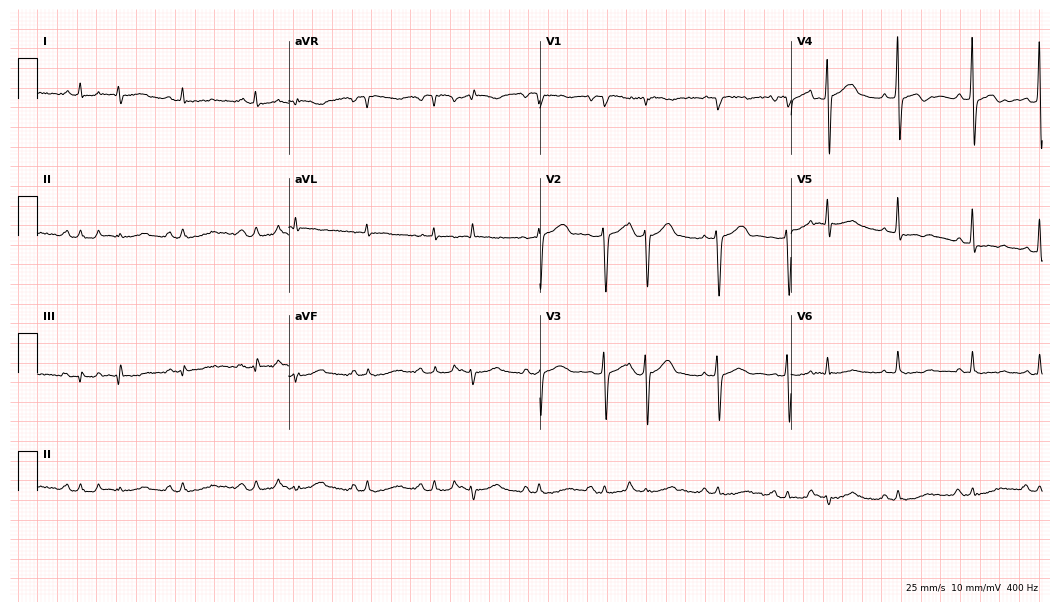
12-lead ECG (10.2-second recording at 400 Hz) from a woman, 83 years old. Screened for six findings — first-degree AV block, right bundle branch block, left bundle branch block, sinus bradycardia, atrial fibrillation, sinus tachycardia — none is recorded. Findings outside these six are not listed.